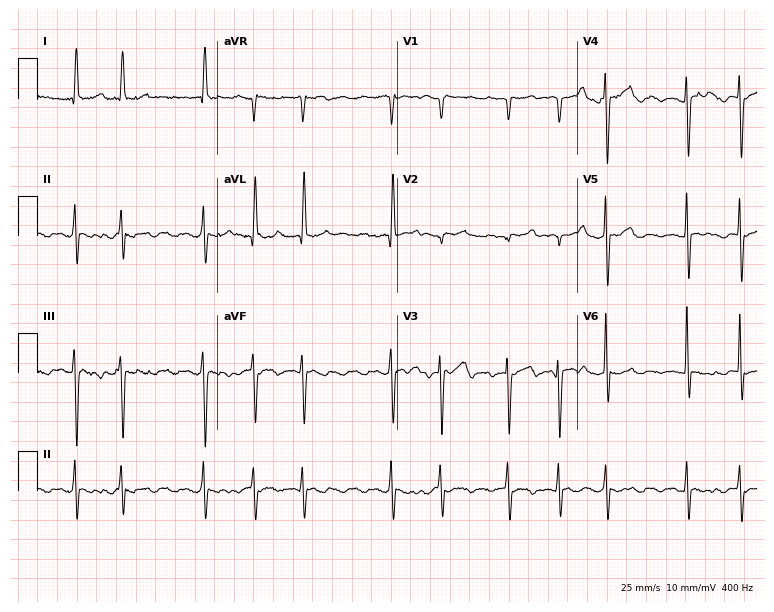
Electrocardiogram, a 73-year-old female patient. Of the six screened findings (first-degree AV block, right bundle branch block (RBBB), left bundle branch block (LBBB), sinus bradycardia, atrial fibrillation (AF), sinus tachycardia), none is recorded.